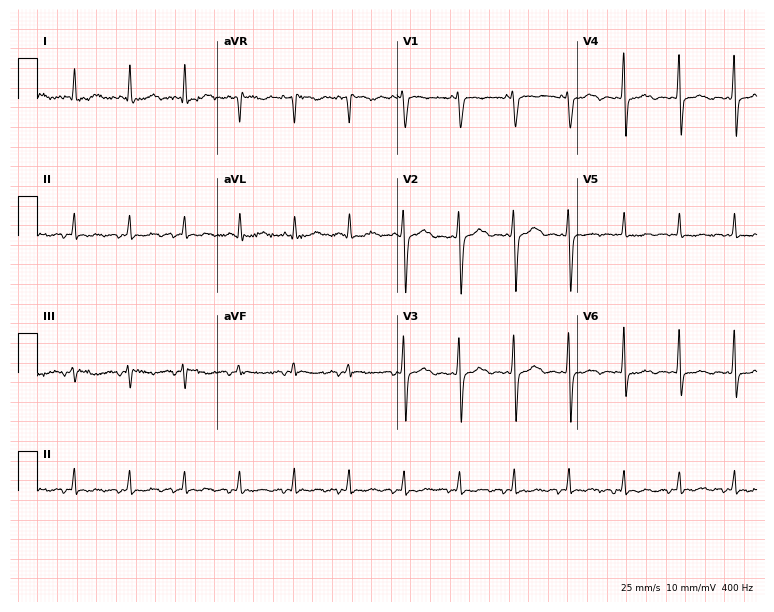
Resting 12-lead electrocardiogram. Patient: a 49-year-old female. None of these six findings is recorded: first-degree AV block, right bundle branch block, left bundle branch block, sinus bradycardia, atrial fibrillation, sinus tachycardia.